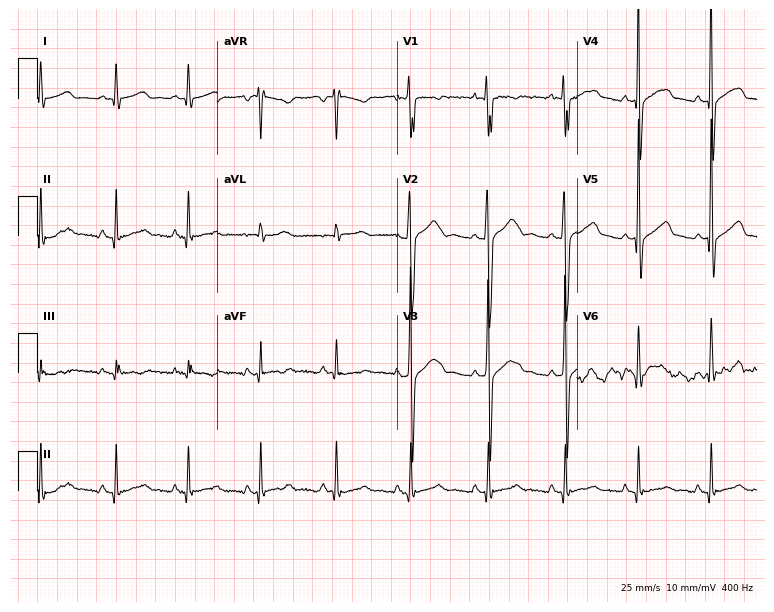
12-lead ECG from a 17-year-old male. No first-degree AV block, right bundle branch block, left bundle branch block, sinus bradycardia, atrial fibrillation or sinus tachycardia recorded for this tracing.